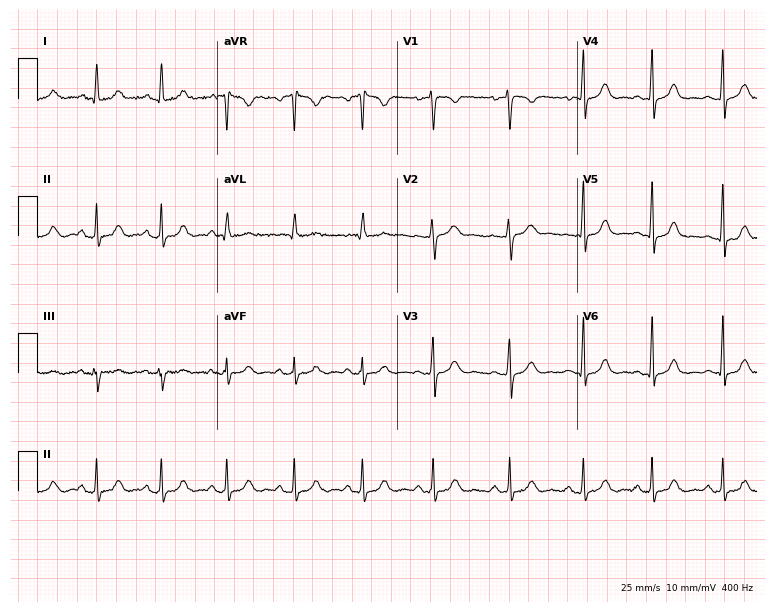
Standard 12-lead ECG recorded from a female patient, 35 years old. Read as a normal ECG.